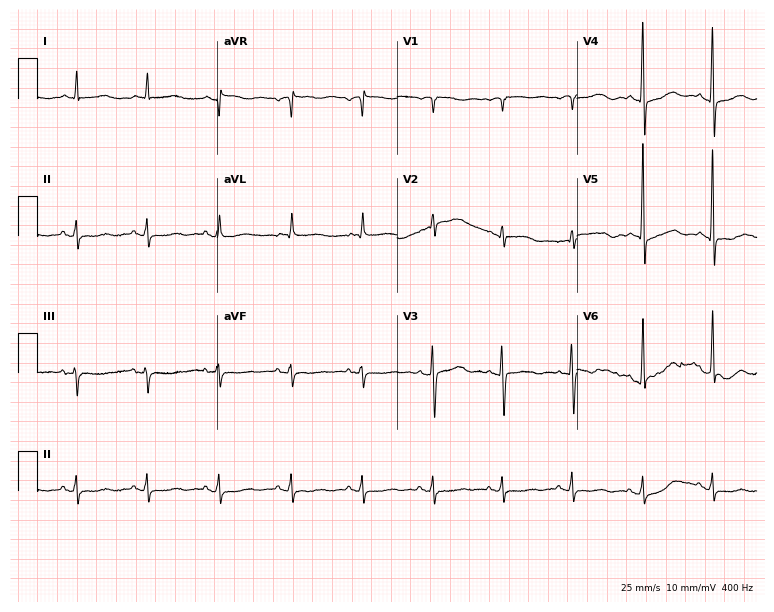
Electrocardiogram, a 75-year-old male. Of the six screened findings (first-degree AV block, right bundle branch block, left bundle branch block, sinus bradycardia, atrial fibrillation, sinus tachycardia), none is recorded. Only these six findings were labelled.